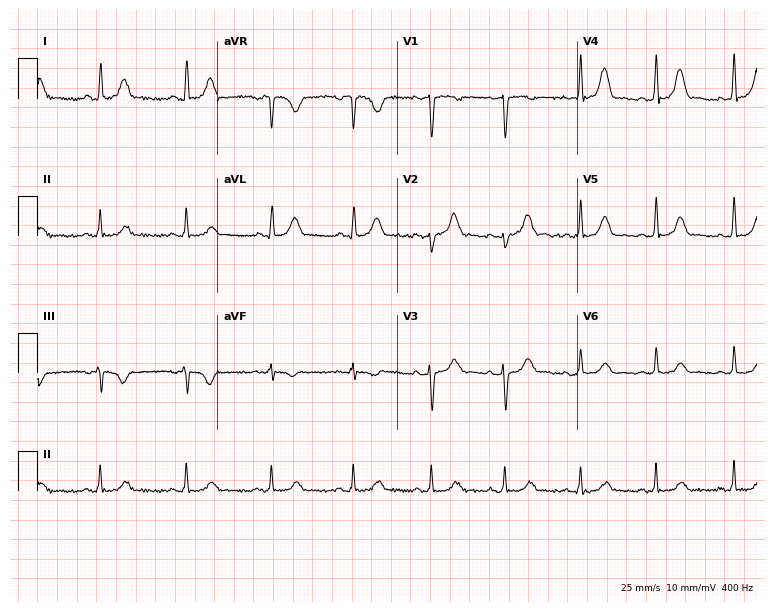
ECG — a 42-year-old female. Labelled as a normal ECG.